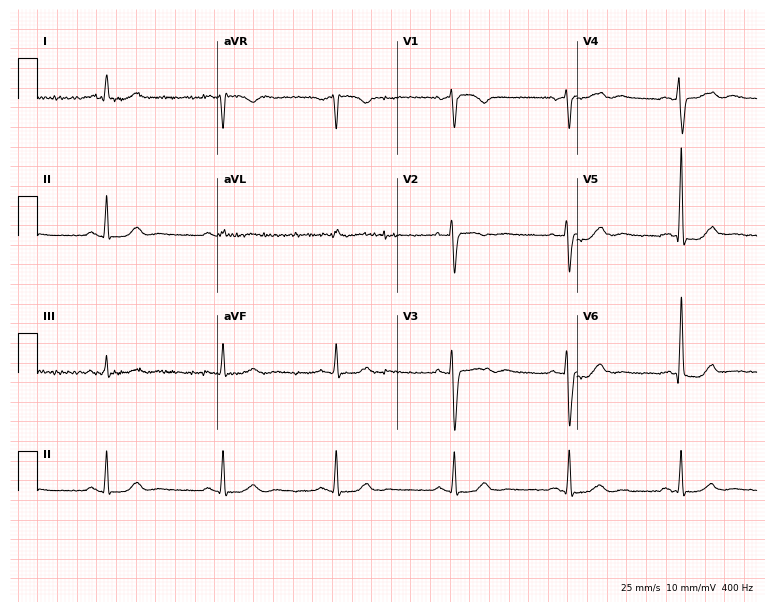
12-lead ECG (7.3-second recording at 400 Hz) from a woman, 66 years old. Labelled as a normal ECG.